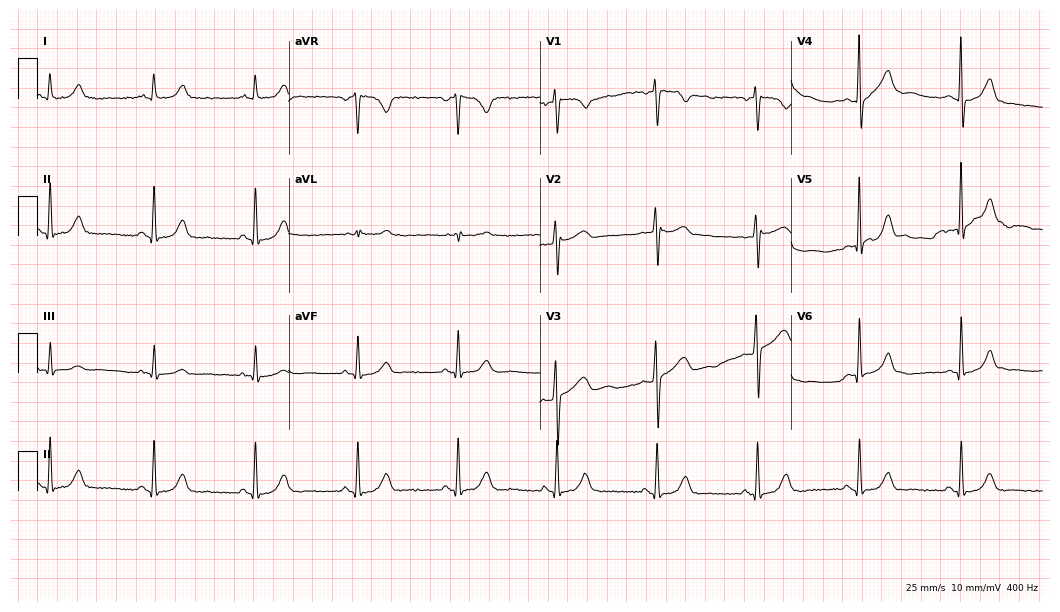
Electrocardiogram, a 44-year-old woman. Of the six screened findings (first-degree AV block, right bundle branch block, left bundle branch block, sinus bradycardia, atrial fibrillation, sinus tachycardia), none is recorded. Findings outside these six are not listed.